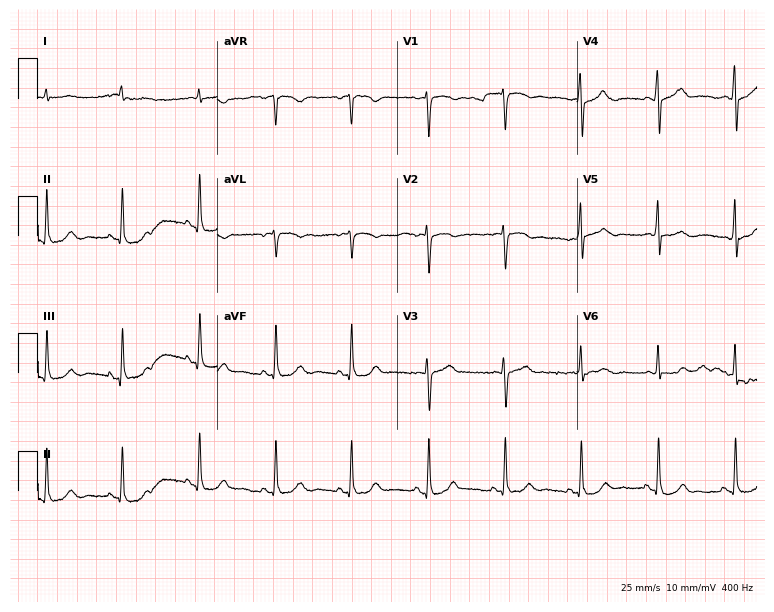
12-lead ECG from a male patient, 77 years old. No first-degree AV block, right bundle branch block, left bundle branch block, sinus bradycardia, atrial fibrillation or sinus tachycardia recorded for this tracing. Findings outside these six are not listed.